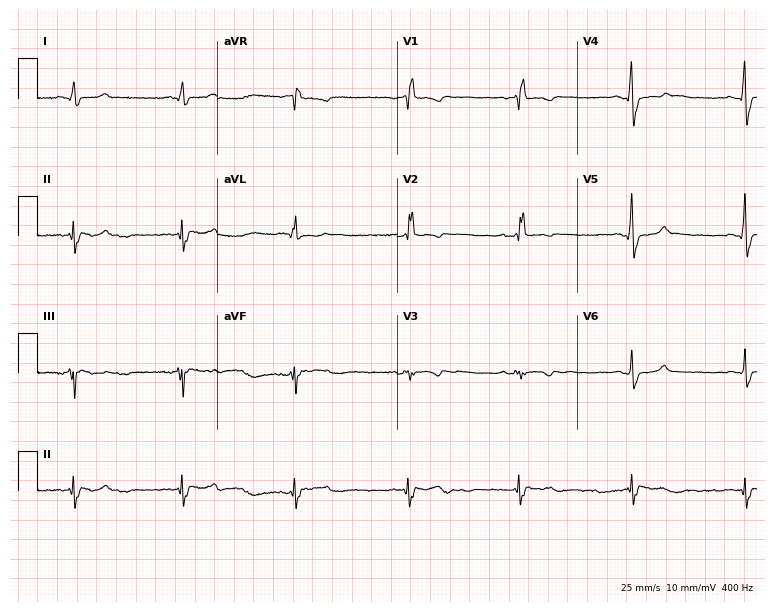
Resting 12-lead electrocardiogram. Patient: a 65-year-old male. The tracing shows right bundle branch block (RBBB).